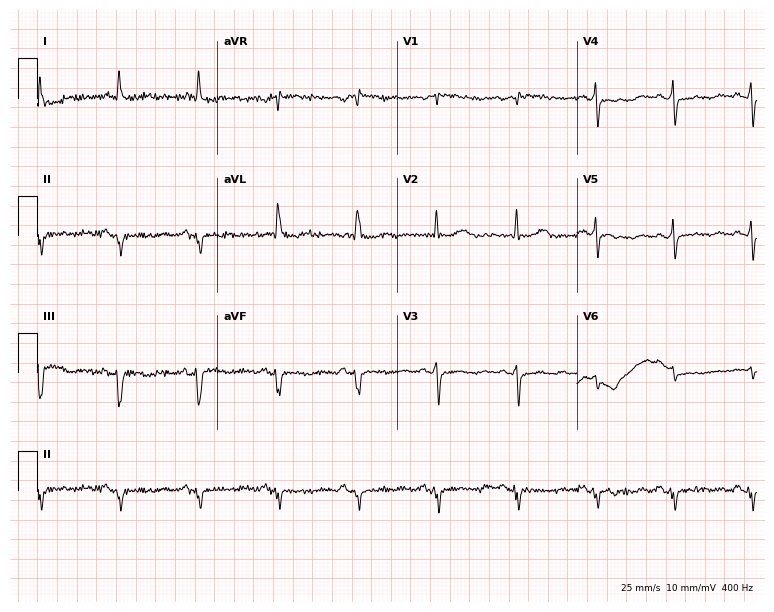
ECG — a female patient, 74 years old. Screened for six findings — first-degree AV block, right bundle branch block, left bundle branch block, sinus bradycardia, atrial fibrillation, sinus tachycardia — none is recorded. Other findings, if any, are not listed.